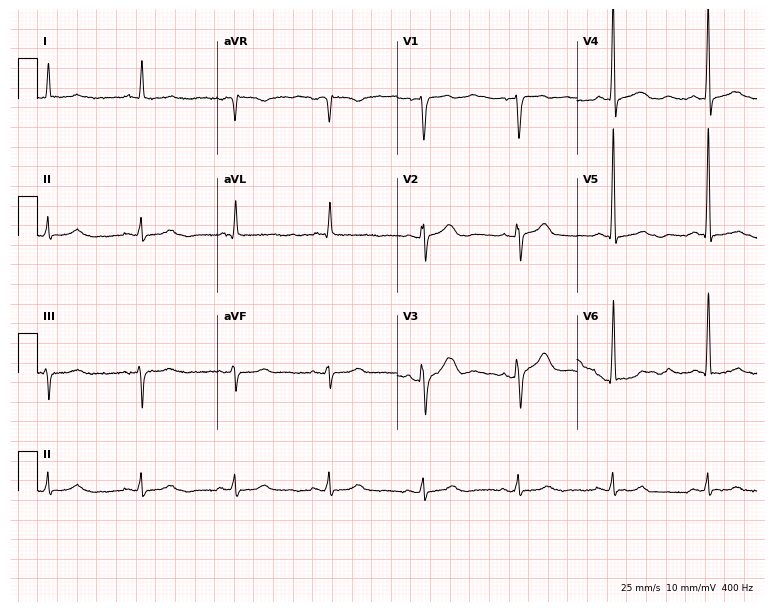
12-lead ECG (7.3-second recording at 400 Hz) from a male, 84 years old. Labelled as a normal ECG.